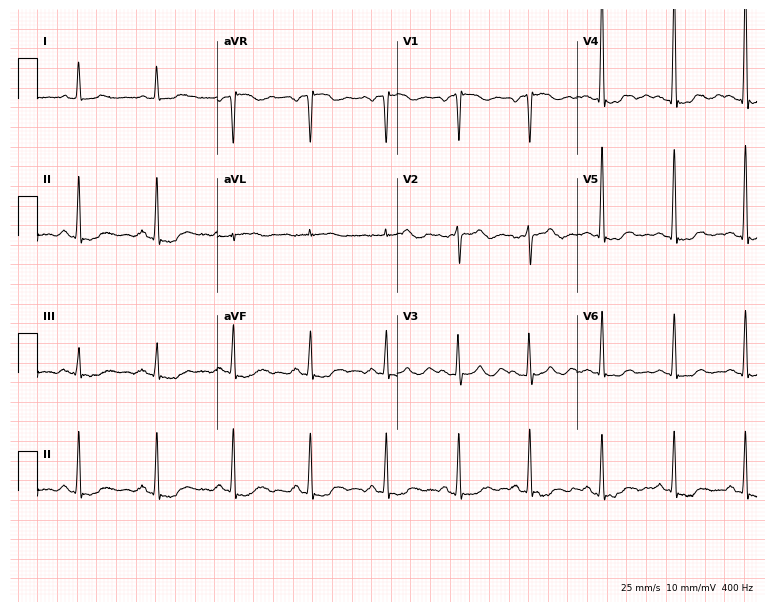
12-lead ECG from a woman, 48 years old. Screened for six findings — first-degree AV block, right bundle branch block, left bundle branch block, sinus bradycardia, atrial fibrillation, sinus tachycardia — none is recorded.